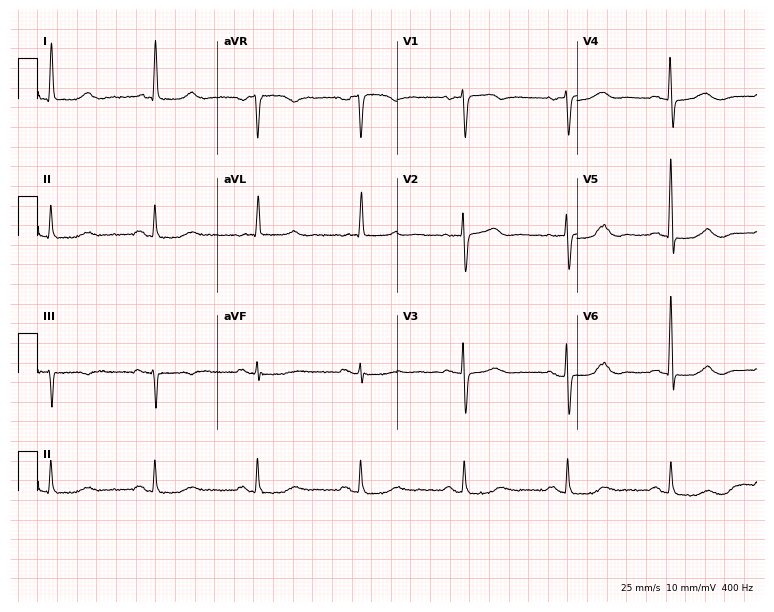
ECG (7.3-second recording at 400 Hz) — a 66-year-old female patient. Screened for six findings — first-degree AV block, right bundle branch block, left bundle branch block, sinus bradycardia, atrial fibrillation, sinus tachycardia — none is recorded. Other findings, if any, are not listed.